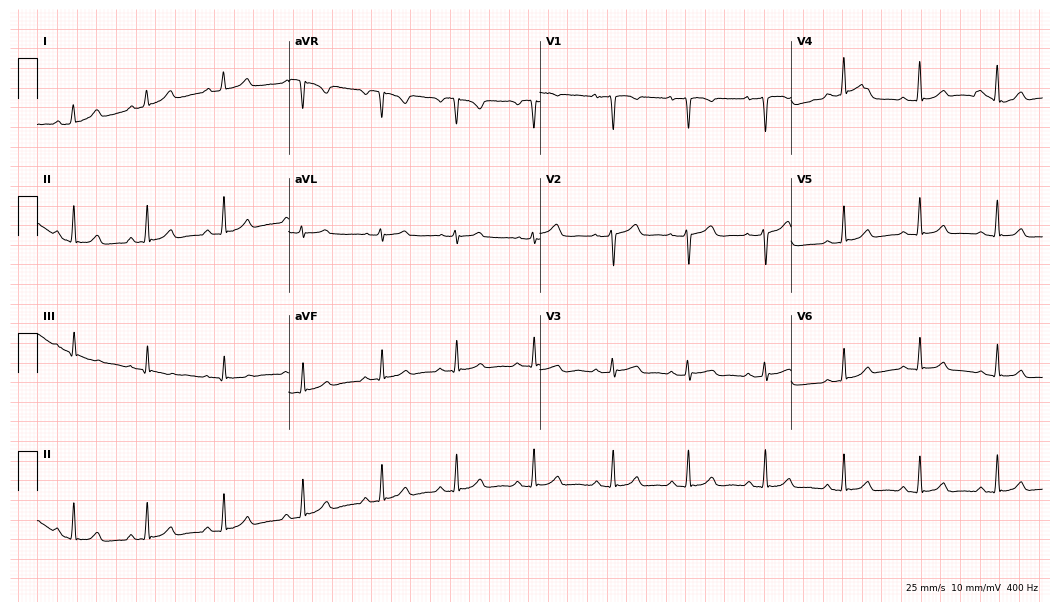
Resting 12-lead electrocardiogram (10.2-second recording at 400 Hz). Patient: a female, 27 years old. Read as a normal ECG.